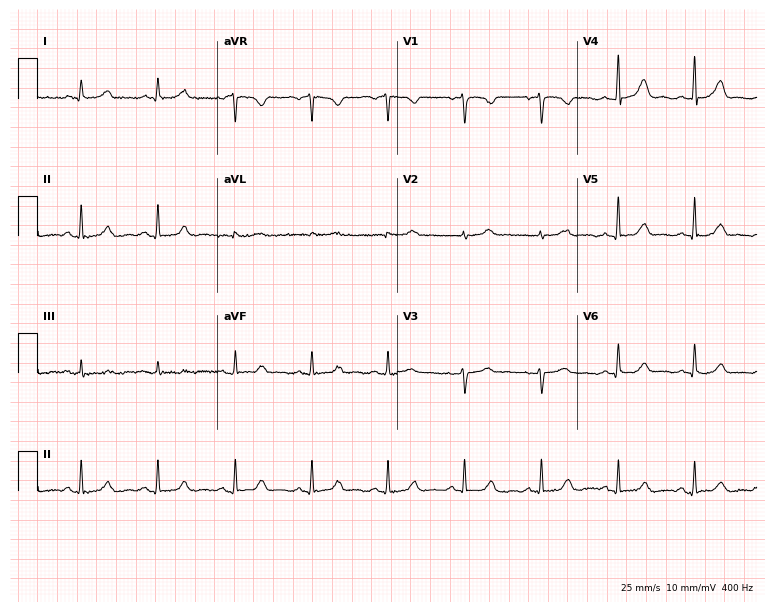
Electrocardiogram (7.3-second recording at 400 Hz), a woman, 50 years old. Overall reading on record: normal ECG.